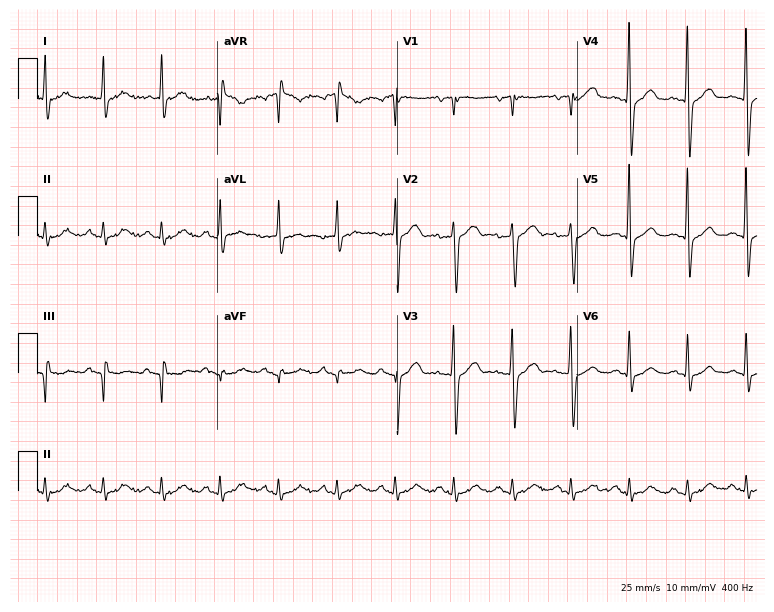
Resting 12-lead electrocardiogram (7.3-second recording at 400 Hz). Patient: a man, 87 years old. None of these six findings is recorded: first-degree AV block, right bundle branch block, left bundle branch block, sinus bradycardia, atrial fibrillation, sinus tachycardia. Other findings, if any, are not listed.